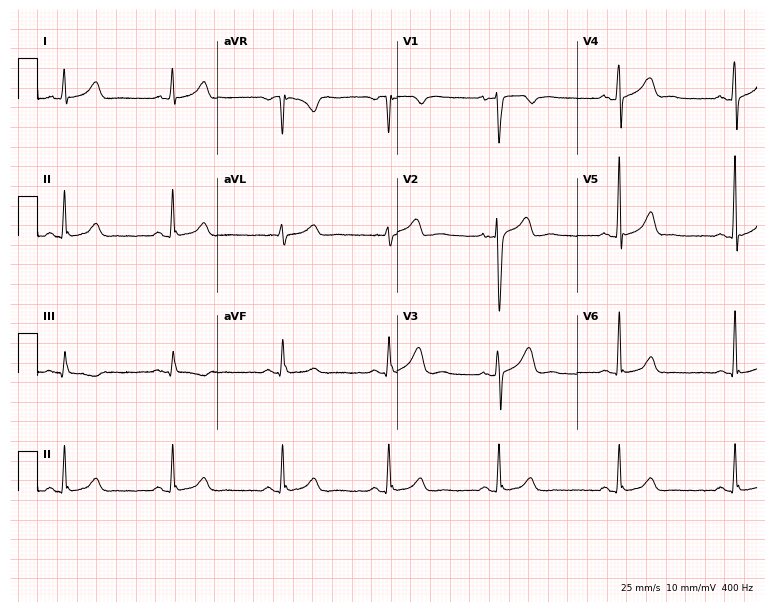
12-lead ECG from a 38-year-old man. No first-degree AV block, right bundle branch block, left bundle branch block, sinus bradycardia, atrial fibrillation or sinus tachycardia recorded for this tracing. Other findings, if any, are not listed.